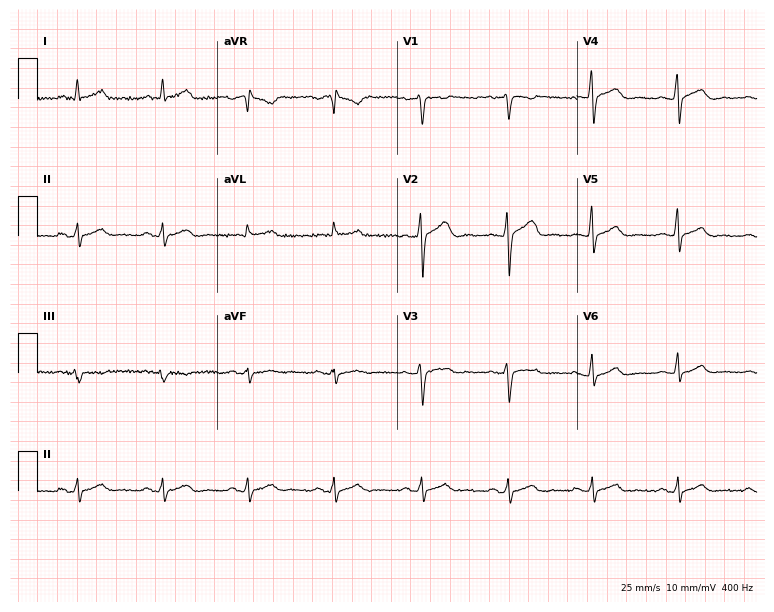
12-lead ECG from a 45-year-old male. Recorded interpretation: within normal limits.